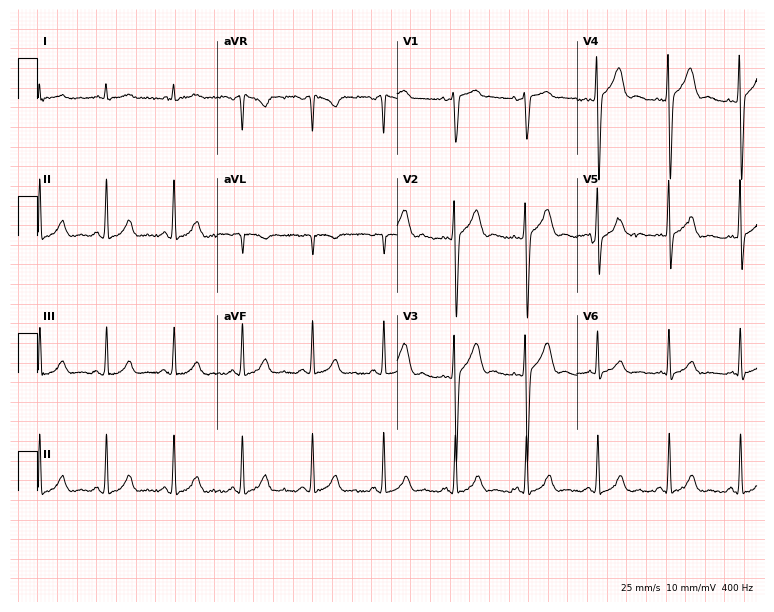
Standard 12-lead ECG recorded from a man, 51 years old. Read as a normal ECG.